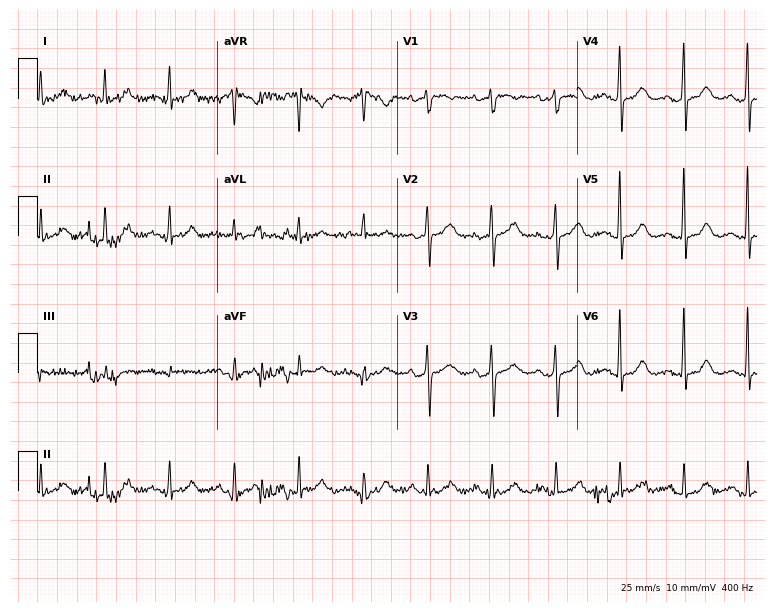
12-lead ECG from a female patient, 80 years old. Recorded interpretation: within normal limits.